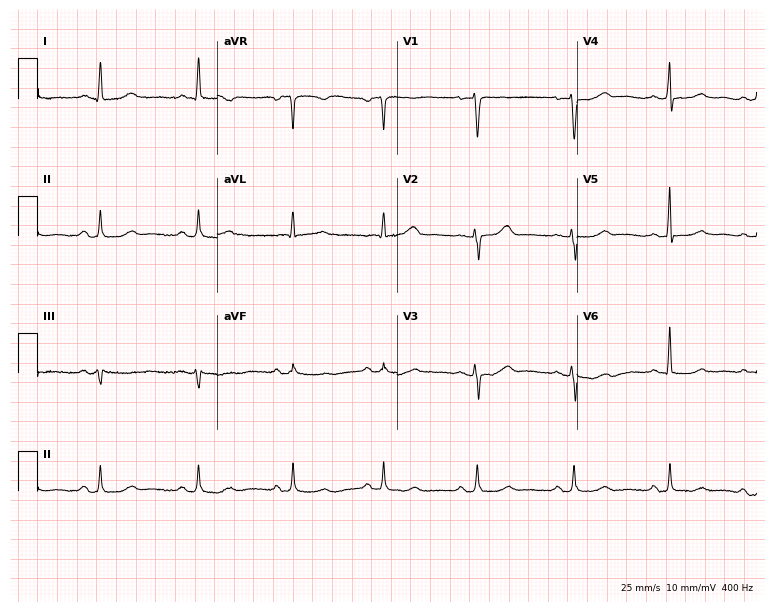
Electrocardiogram, a woman, 55 years old. Overall reading on record: normal ECG.